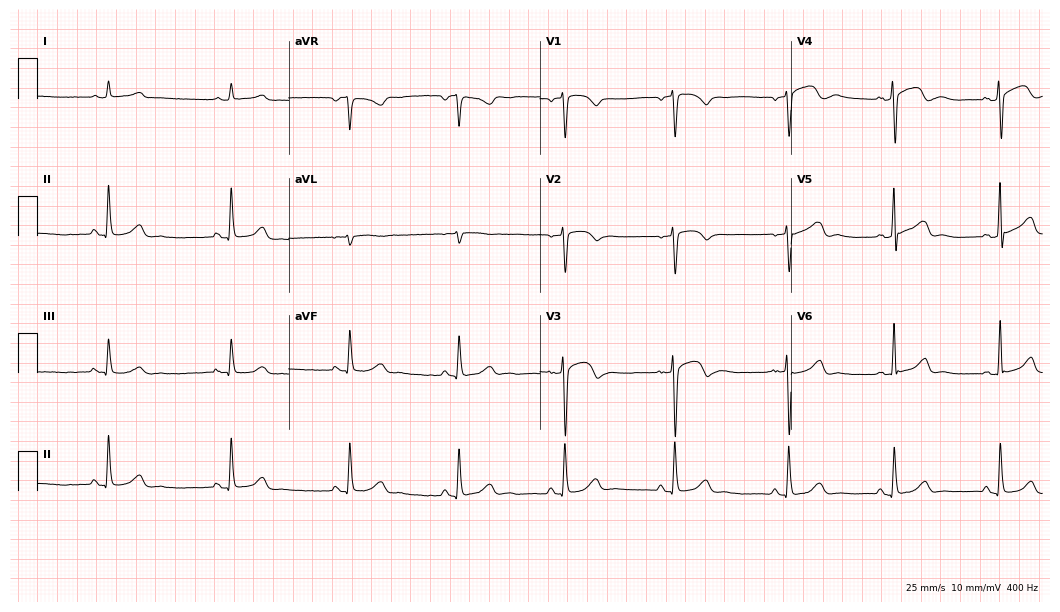
ECG (10.2-second recording at 400 Hz) — a woman, 66 years old. Labelled as a normal ECG.